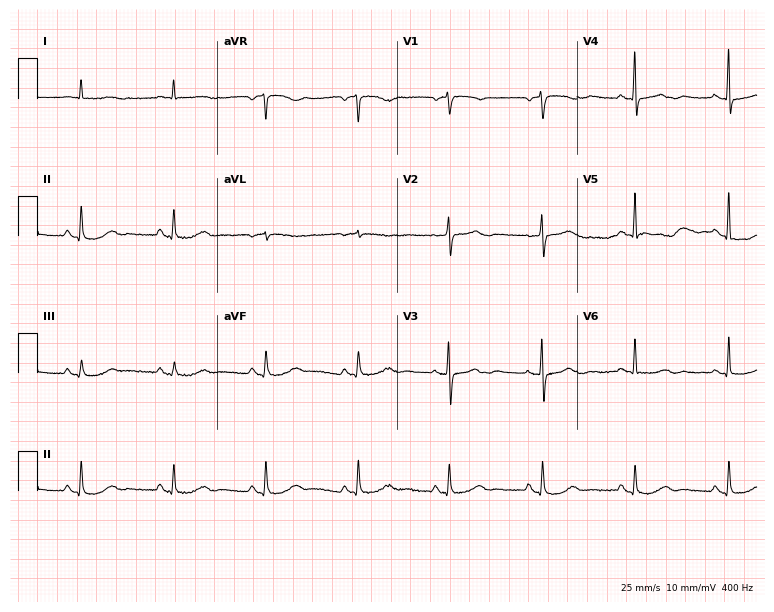
ECG — an 83-year-old female. Screened for six findings — first-degree AV block, right bundle branch block, left bundle branch block, sinus bradycardia, atrial fibrillation, sinus tachycardia — none is recorded.